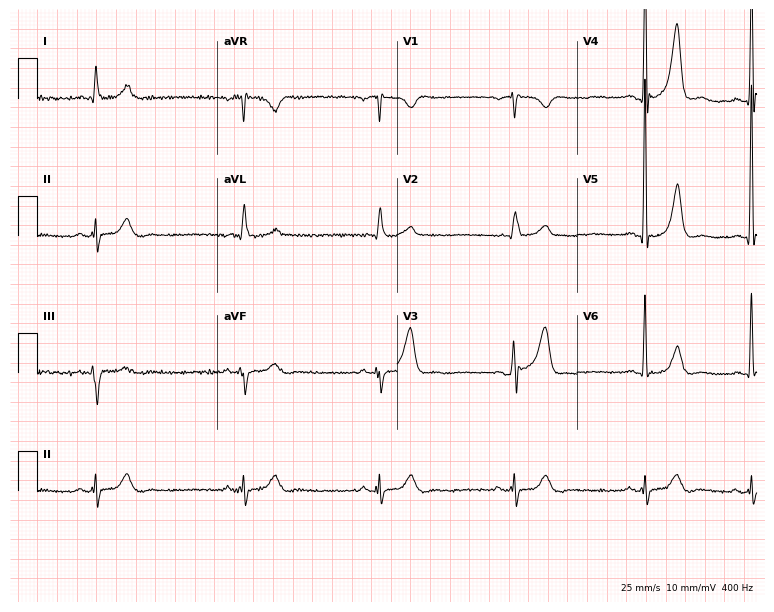
ECG — a 64-year-old male patient. Screened for six findings — first-degree AV block, right bundle branch block (RBBB), left bundle branch block (LBBB), sinus bradycardia, atrial fibrillation (AF), sinus tachycardia — none is recorded. Findings outside these six are not listed.